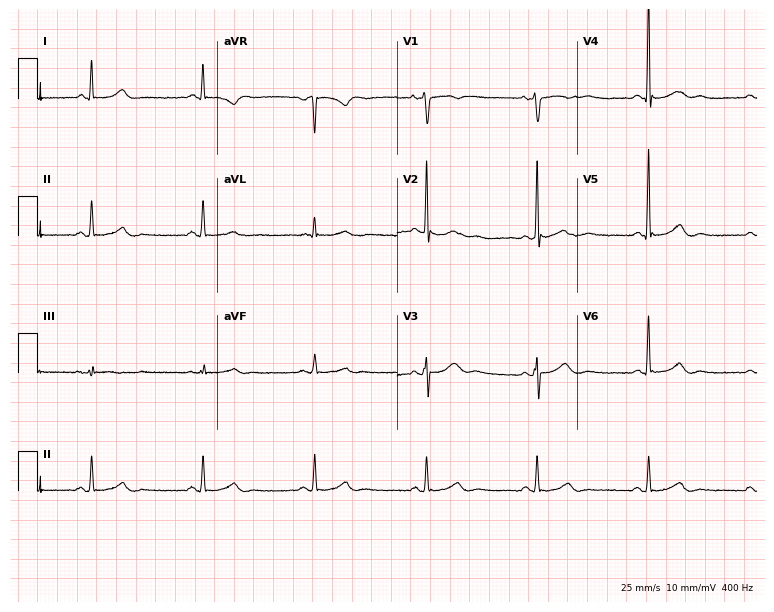
Resting 12-lead electrocardiogram. Patient: a 68-year-old male. Read as a normal ECG.